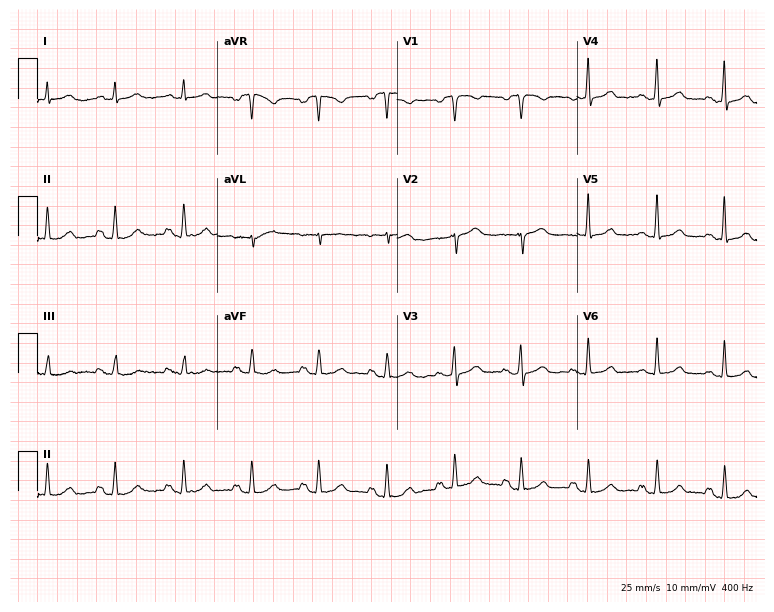
12-lead ECG from a 42-year-old woman. Labelled as a normal ECG.